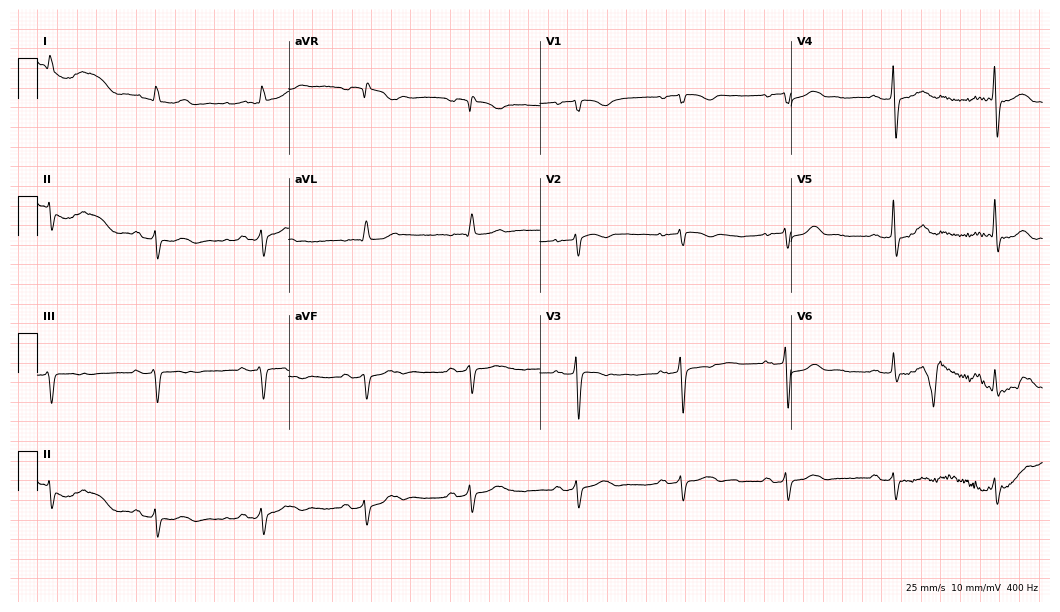
Standard 12-lead ECG recorded from a female patient, 72 years old. None of these six findings is recorded: first-degree AV block, right bundle branch block, left bundle branch block, sinus bradycardia, atrial fibrillation, sinus tachycardia. Other findings, if any, are not listed.